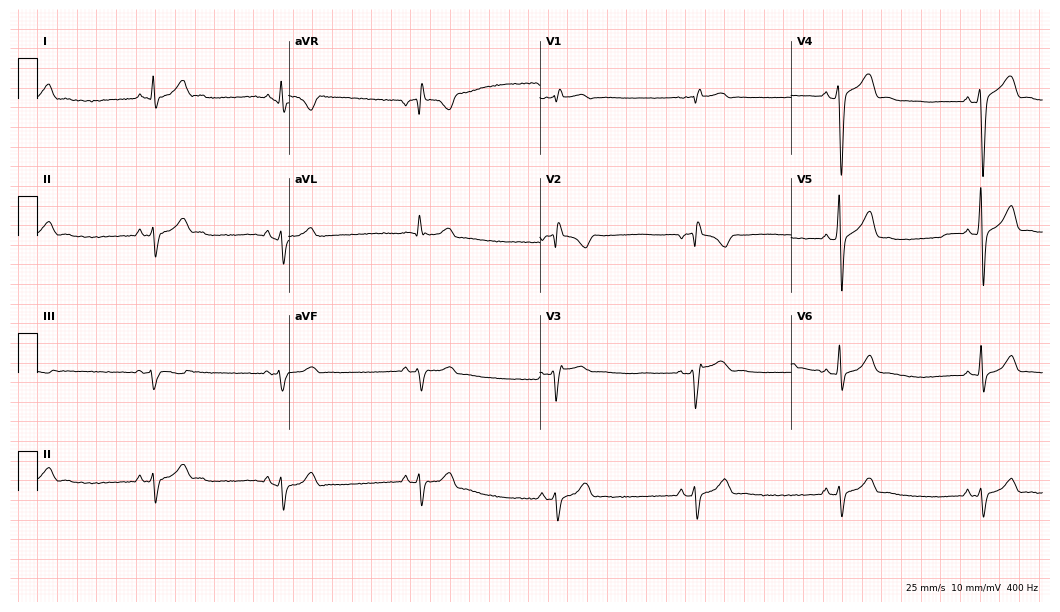
ECG (10.2-second recording at 400 Hz) — a 33-year-old man. Findings include sinus bradycardia (a sinus rate of 50 beats per minute or less).